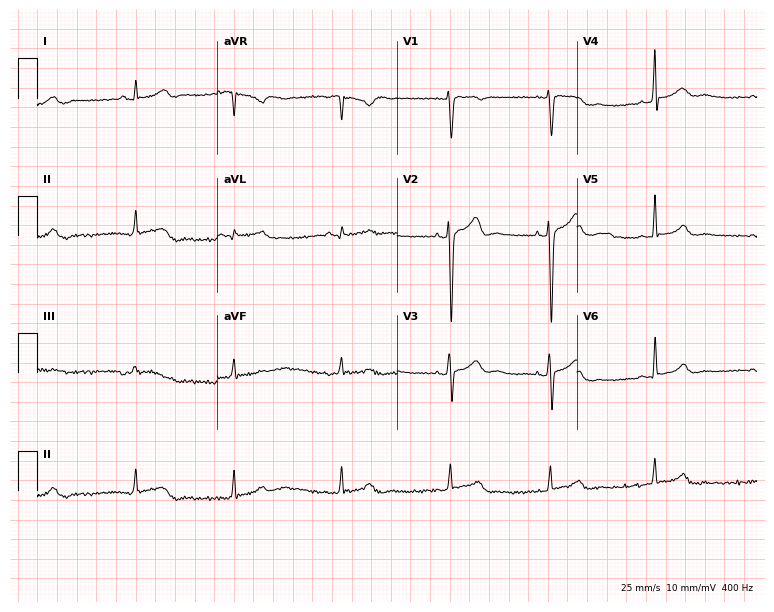
Standard 12-lead ECG recorded from a 19-year-old man (7.3-second recording at 400 Hz). None of these six findings is recorded: first-degree AV block, right bundle branch block, left bundle branch block, sinus bradycardia, atrial fibrillation, sinus tachycardia.